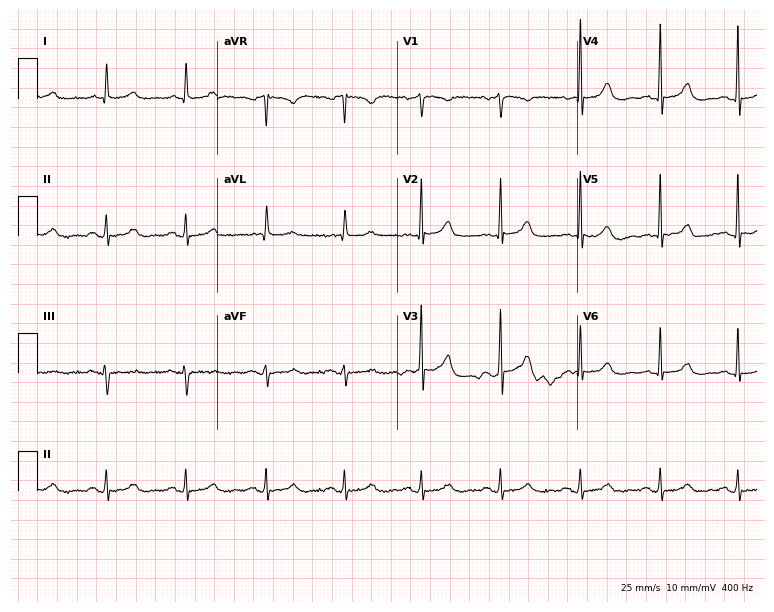
Electrocardiogram, a 66-year-old female. Overall reading on record: normal ECG.